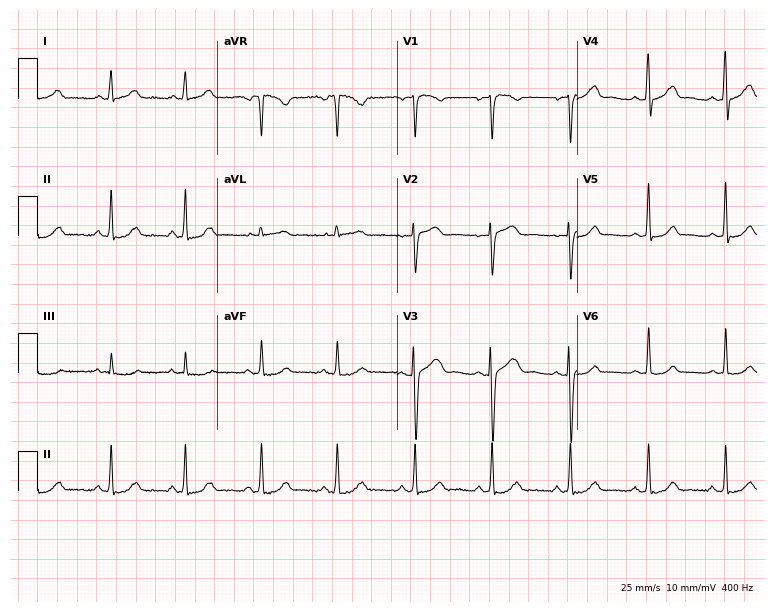
Standard 12-lead ECG recorded from a woman, 37 years old. None of these six findings is recorded: first-degree AV block, right bundle branch block (RBBB), left bundle branch block (LBBB), sinus bradycardia, atrial fibrillation (AF), sinus tachycardia. Findings outside these six are not listed.